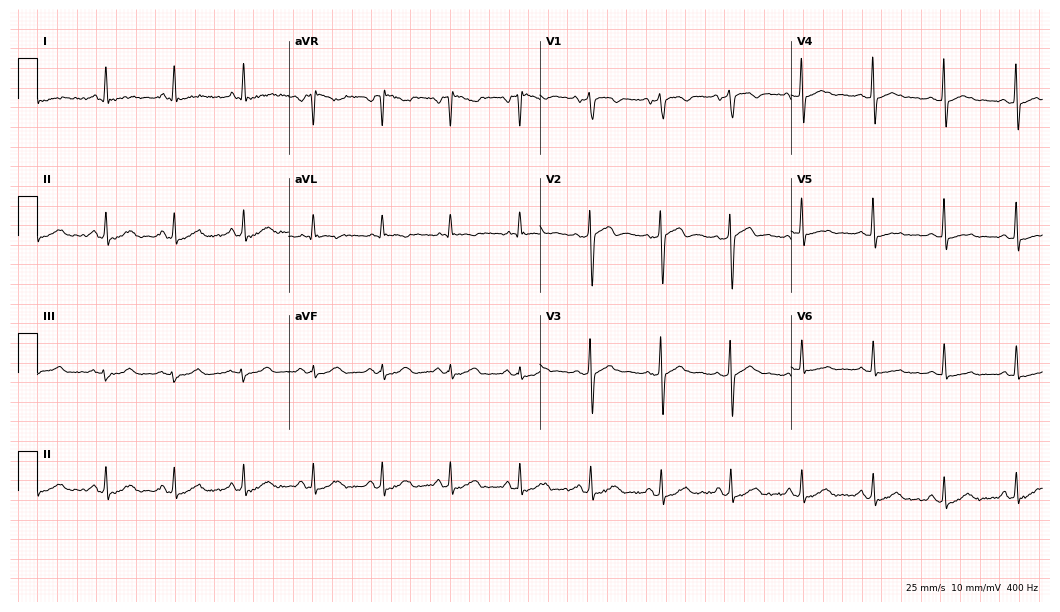
12-lead ECG from a male, 57 years old (10.2-second recording at 400 Hz). No first-degree AV block, right bundle branch block, left bundle branch block, sinus bradycardia, atrial fibrillation or sinus tachycardia recorded for this tracing.